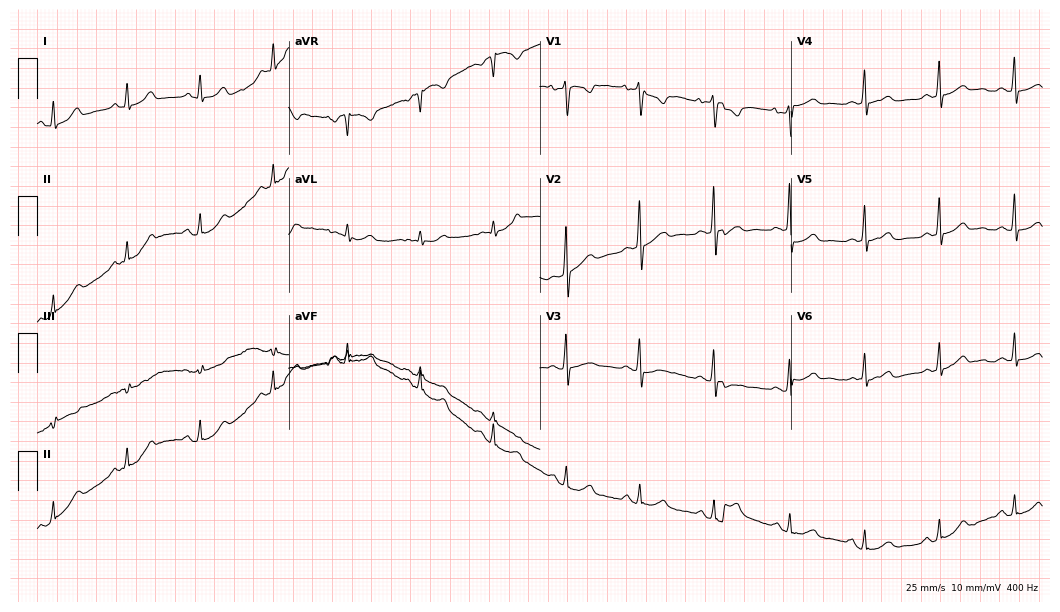
Electrocardiogram, a female patient, 45 years old. Overall reading on record: normal ECG.